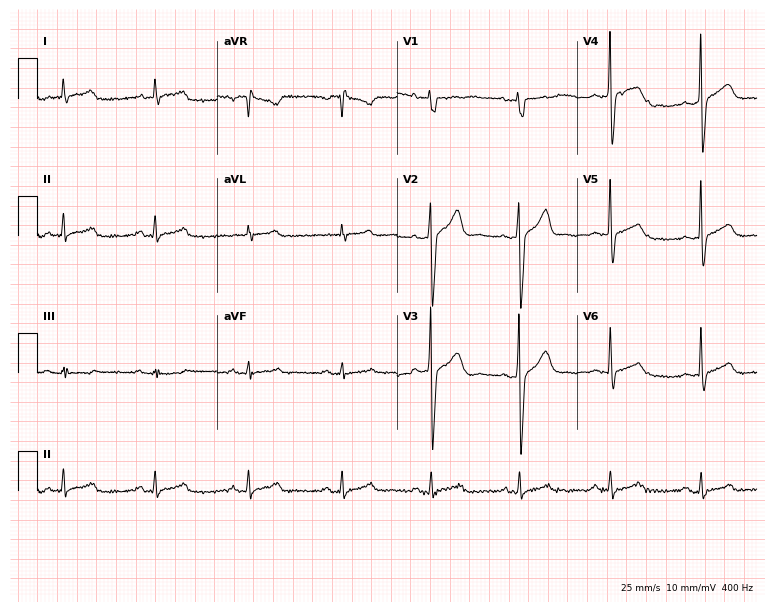
12-lead ECG from a man, 55 years old (7.3-second recording at 400 Hz). Recorded interpretation: within normal limits.